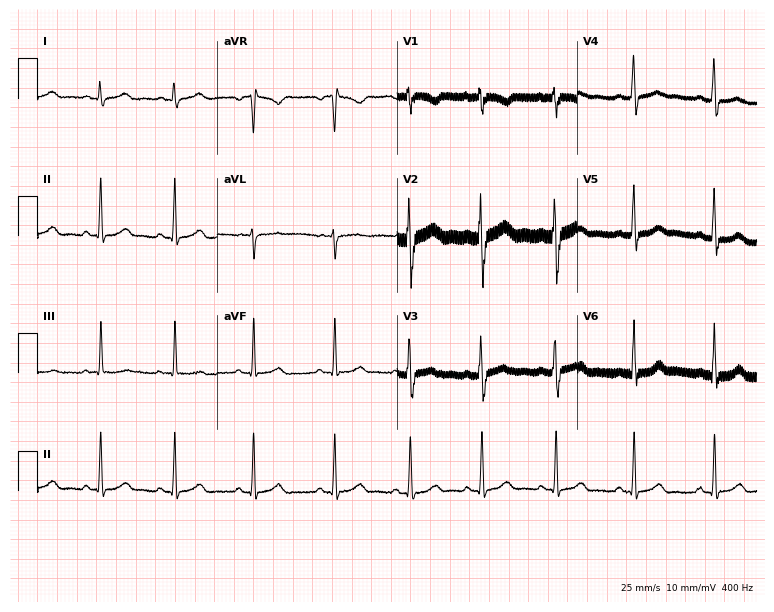
12-lead ECG from an 18-year-old female. Labelled as a normal ECG.